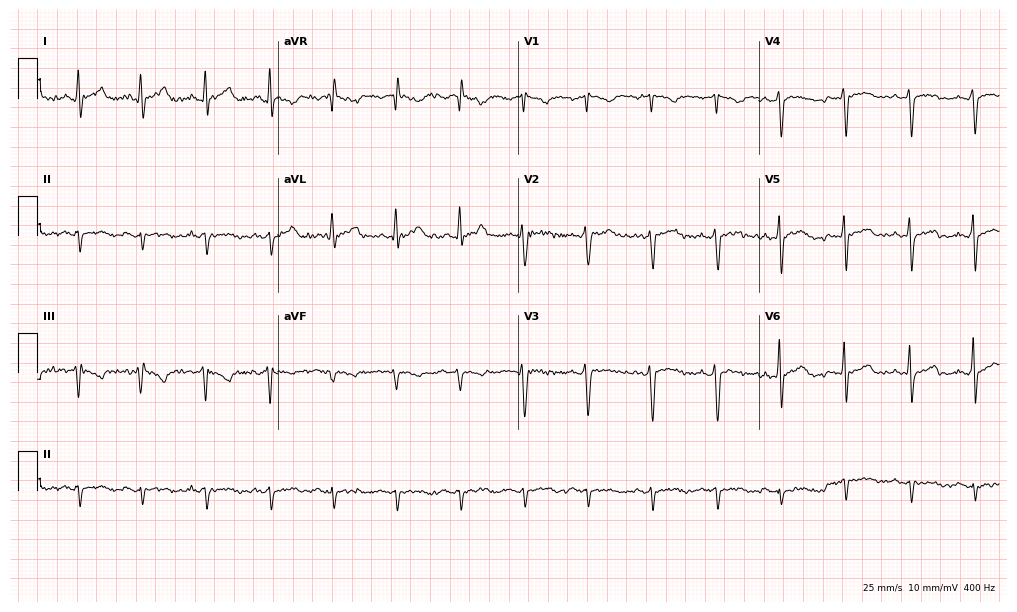
ECG — a 44-year-old man. Screened for six findings — first-degree AV block, right bundle branch block (RBBB), left bundle branch block (LBBB), sinus bradycardia, atrial fibrillation (AF), sinus tachycardia — none is recorded.